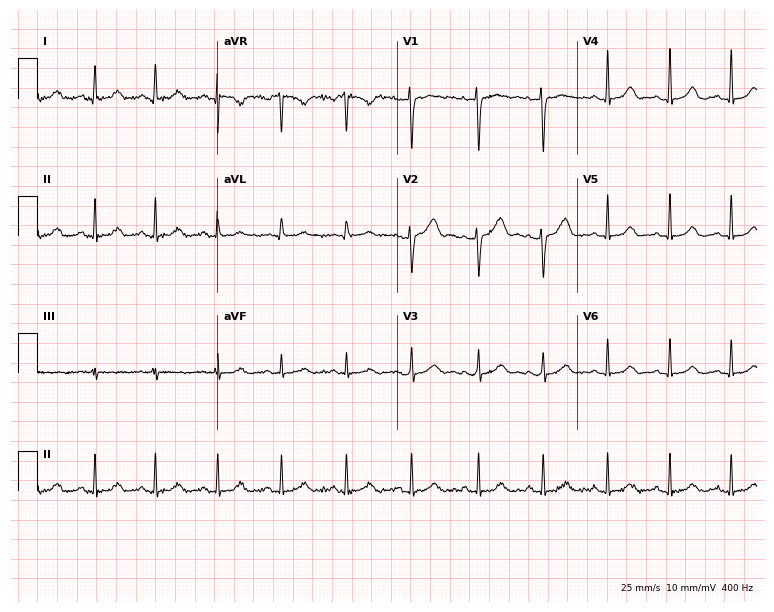
ECG — a female, 26 years old. Labelled as a normal ECG.